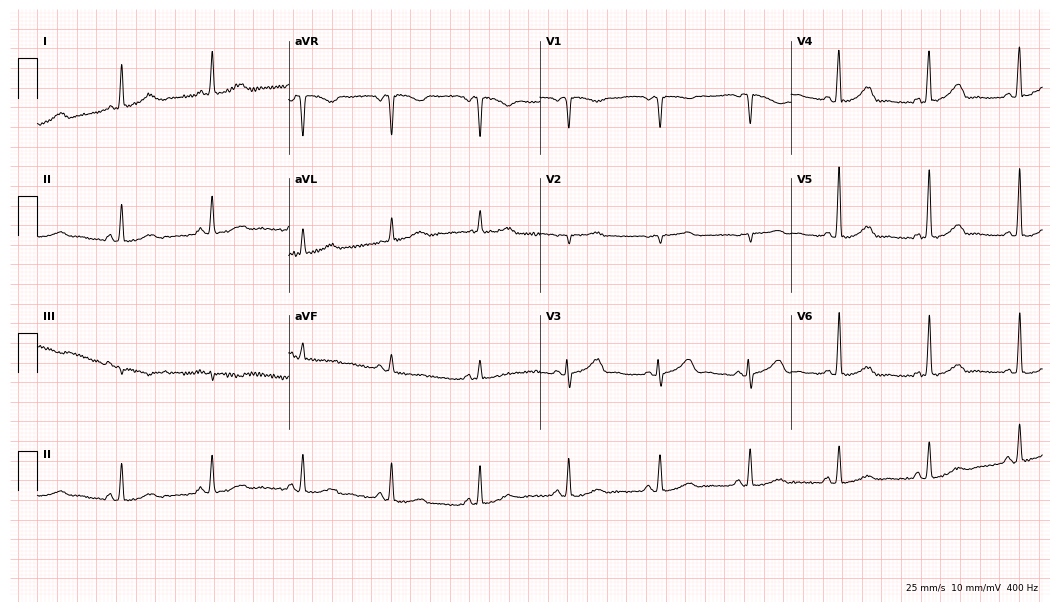
ECG — a 57-year-old female patient. Labelled as a normal ECG.